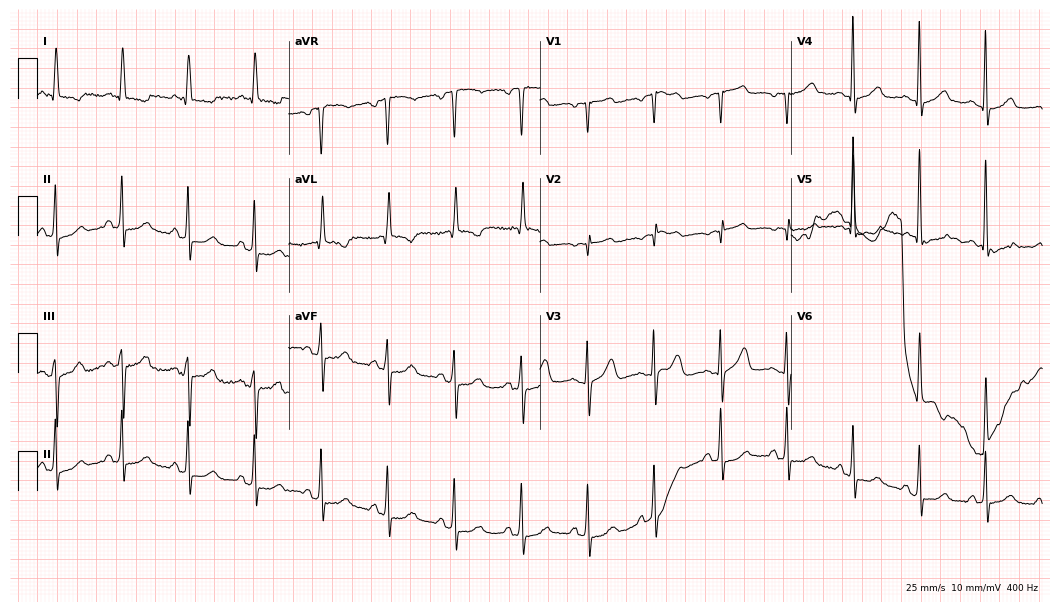
Resting 12-lead electrocardiogram. Patient: a female, 74 years old. None of these six findings is recorded: first-degree AV block, right bundle branch block, left bundle branch block, sinus bradycardia, atrial fibrillation, sinus tachycardia.